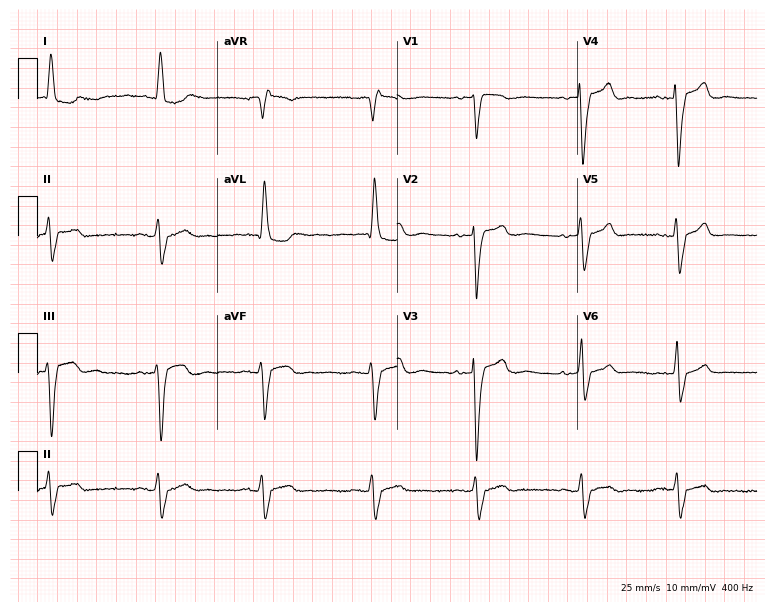
Resting 12-lead electrocardiogram (7.3-second recording at 400 Hz). Patient: an 84-year-old female. The tracing shows left bundle branch block.